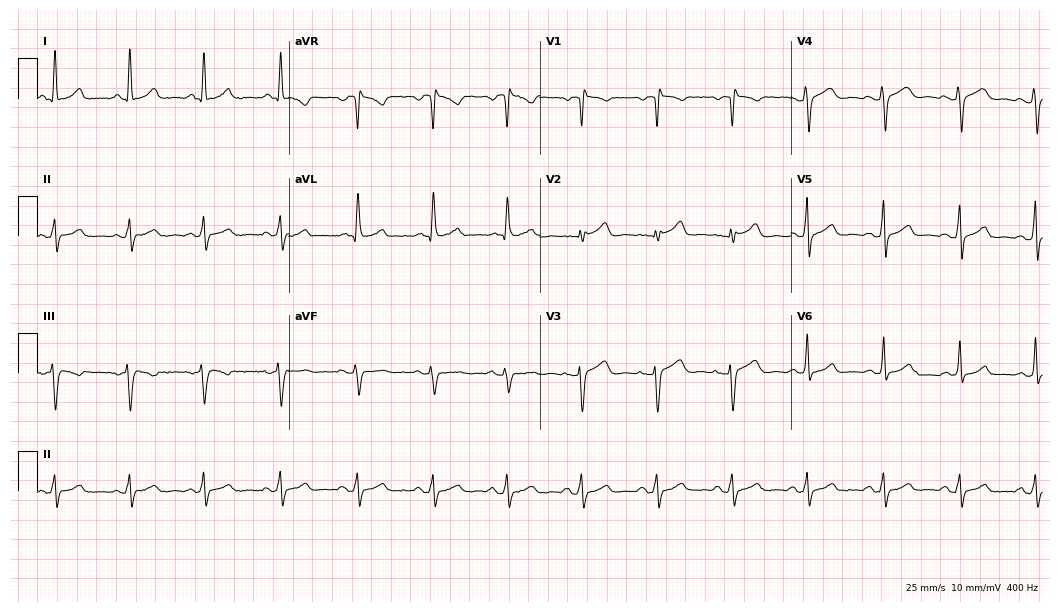
12-lead ECG from a 45-year-old female. Recorded interpretation: within normal limits.